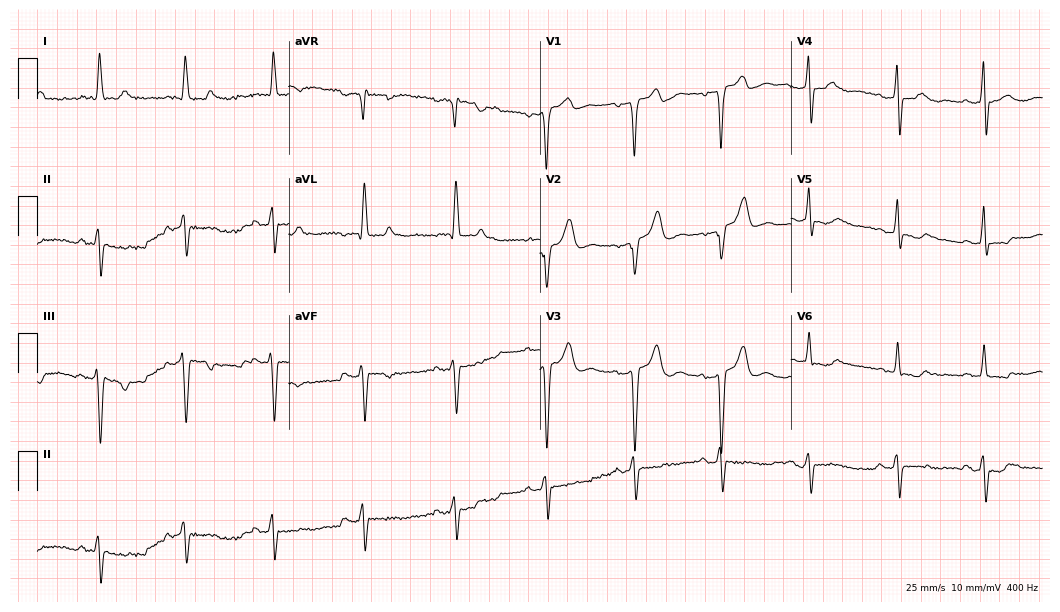
Electrocardiogram (10.2-second recording at 400 Hz), a 74-year-old man. Of the six screened findings (first-degree AV block, right bundle branch block (RBBB), left bundle branch block (LBBB), sinus bradycardia, atrial fibrillation (AF), sinus tachycardia), none is recorded. Only these six findings were labelled.